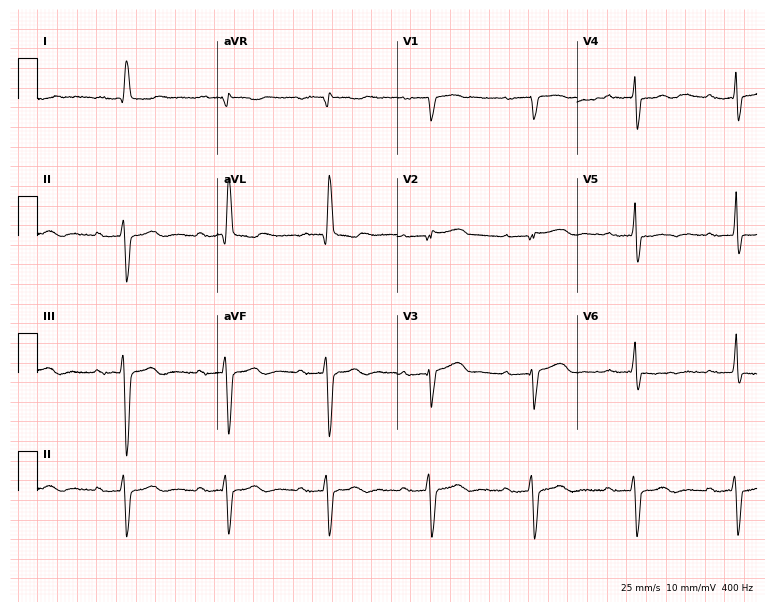
Resting 12-lead electrocardiogram. Patient: an 86-year-old man. The tracing shows first-degree AV block.